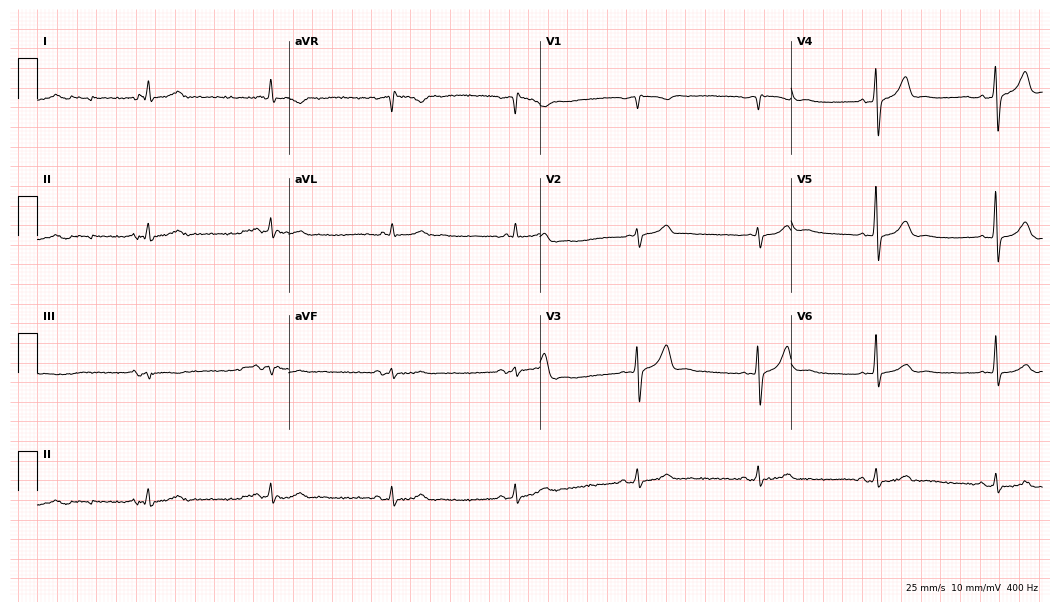
ECG (10.2-second recording at 400 Hz) — a 76-year-old man. Findings include sinus bradycardia (a sinus rate of 50 beats per minute or less).